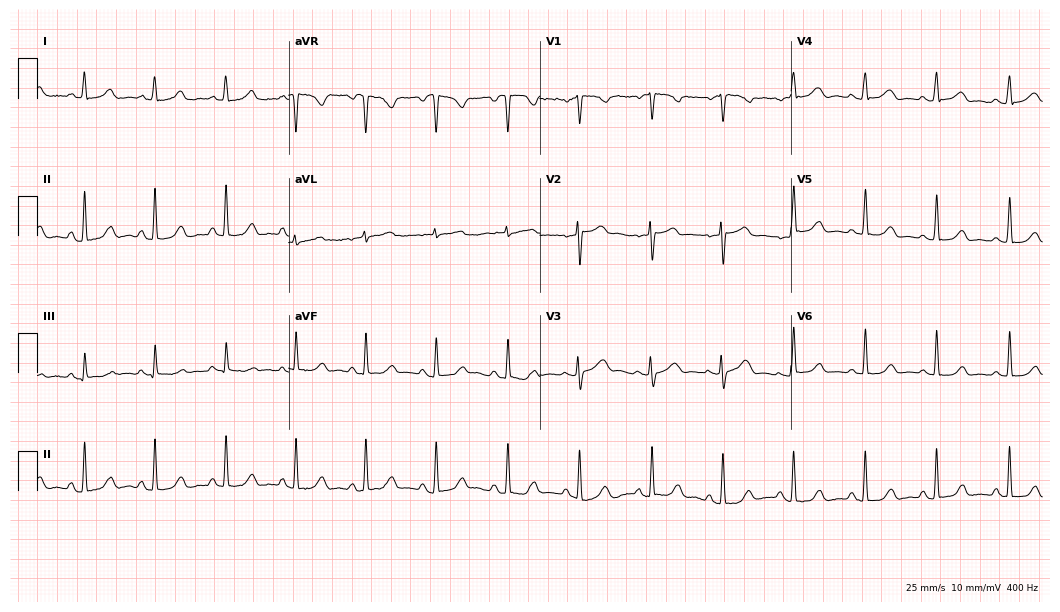
ECG — a female patient, 48 years old. Labelled as a normal ECG.